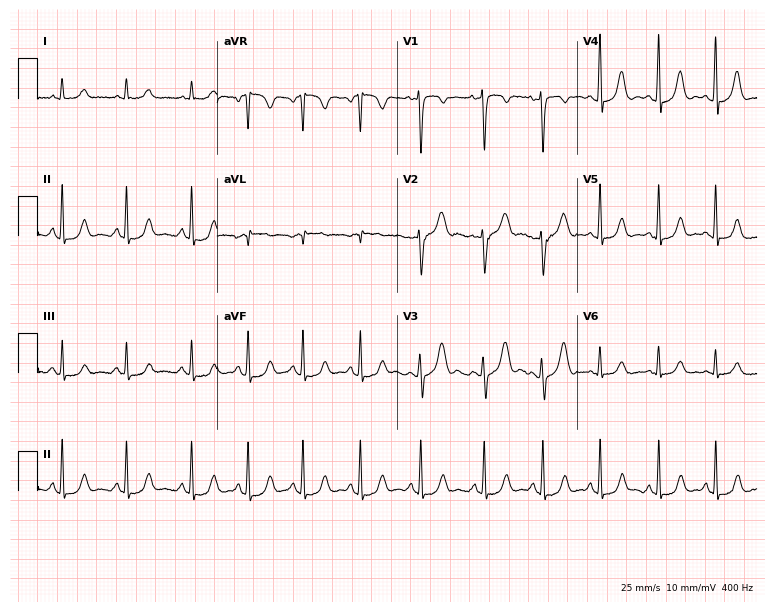
Standard 12-lead ECG recorded from a female, 28 years old (7.3-second recording at 400 Hz). None of these six findings is recorded: first-degree AV block, right bundle branch block, left bundle branch block, sinus bradycardia, atrial fibrillation, sinus tachycardia.